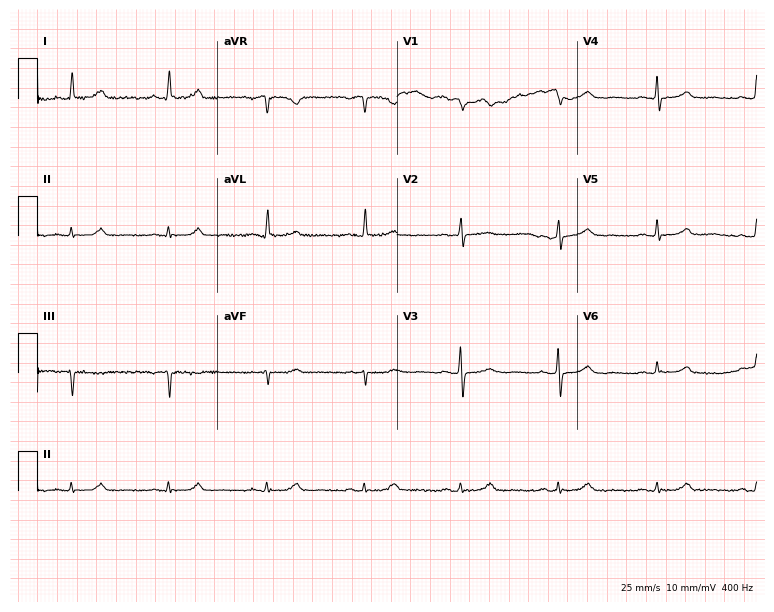
ECG (7.3-second recording at 400 Hz) — a female patient, 72 years old. Screened for six findings — first-degree AV block, right bundle branch block, left bundle branch block, sinus bradycardia, atrial fibrillation, sinus tachycardia — none is recorded.